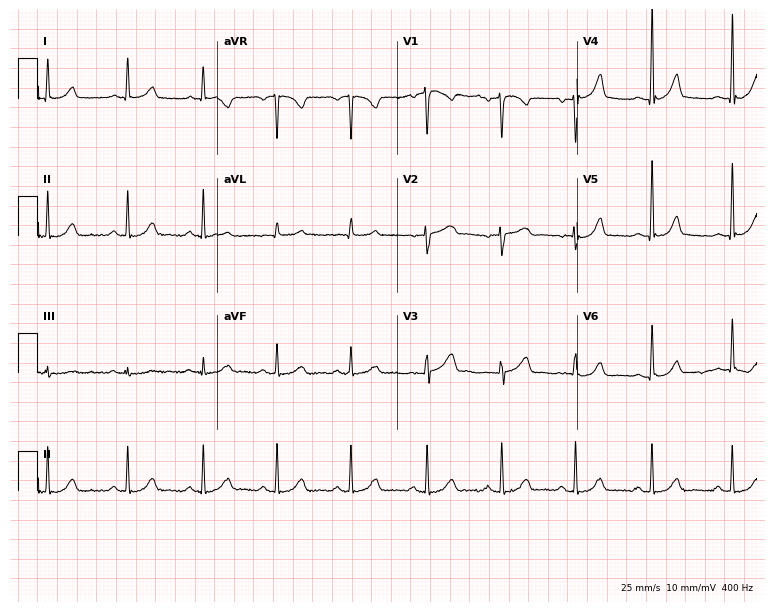
12-lead ECG (7.3-second recording at 400 Hz) from a female patient, 47 years old. Labelled as a normal ECG.